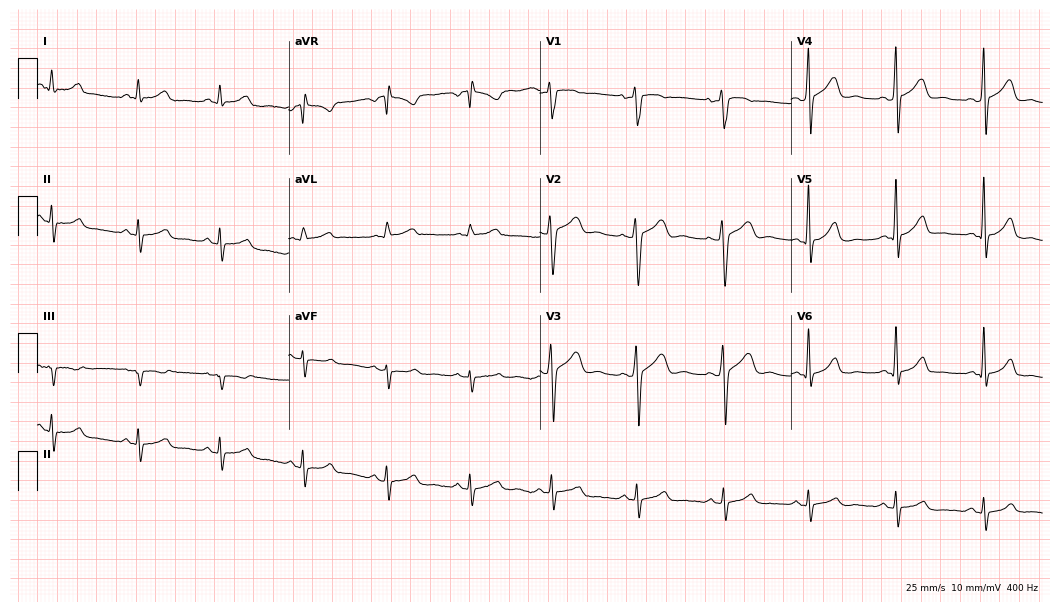
ECG — a 47-year-old male. Screened for six findings — first-degree AV block, right bundle branch block, left bundle branch block, sinus bradycardia, atrial fibrillation, sinus tachycardia — none is recorded. Findings outside these six are not listed.